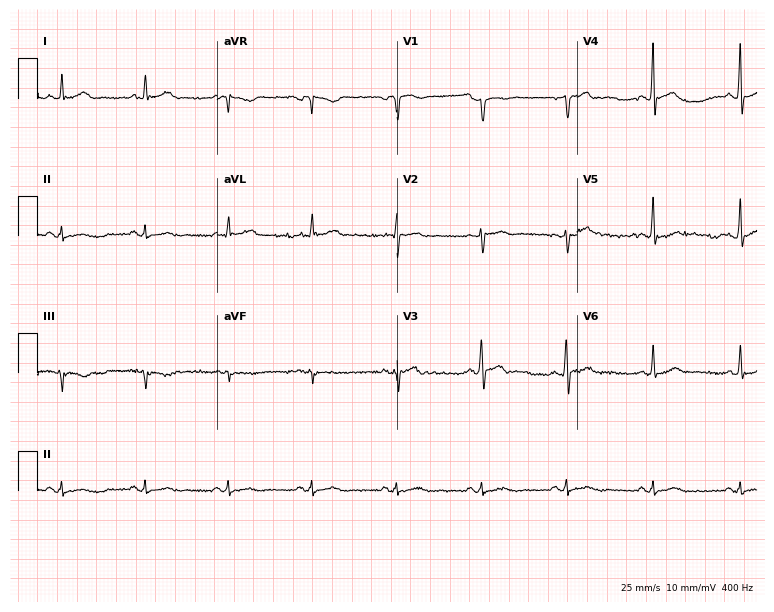
Electrocardiogram (7.3-second recording at 400 Hz), a 48-year-old man. Of the six screened findings (first-degree AV block, right bundle branch block (RBBB), left bundle branch block (LBBB), sinus bradycardia, atrial fibrillation (AF), sinus tachycardia), none is recorded.